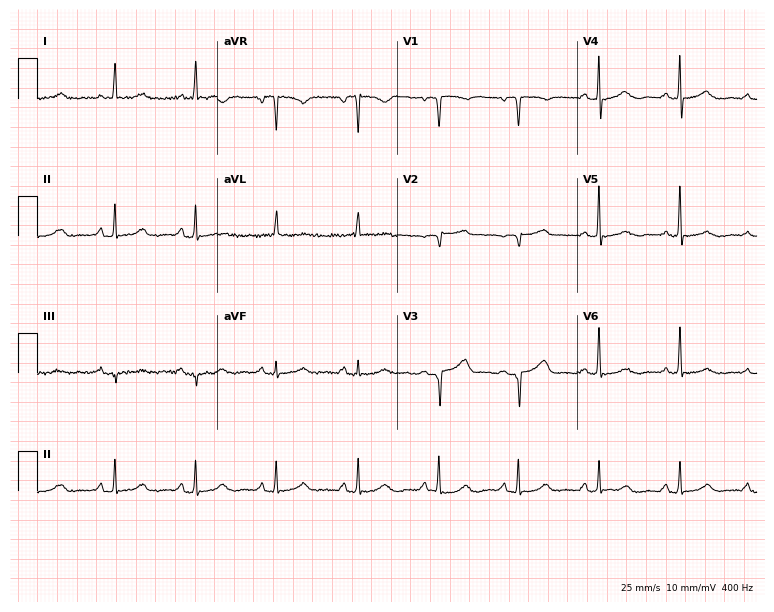
12-lead ECG from a woman, 72 years old. Screened for six findings — first-degree AV block, right bundle branch block, left bundle branch block, sinus bradycardia, atrial fibrillation, sinus tachycardia — none is recorded.